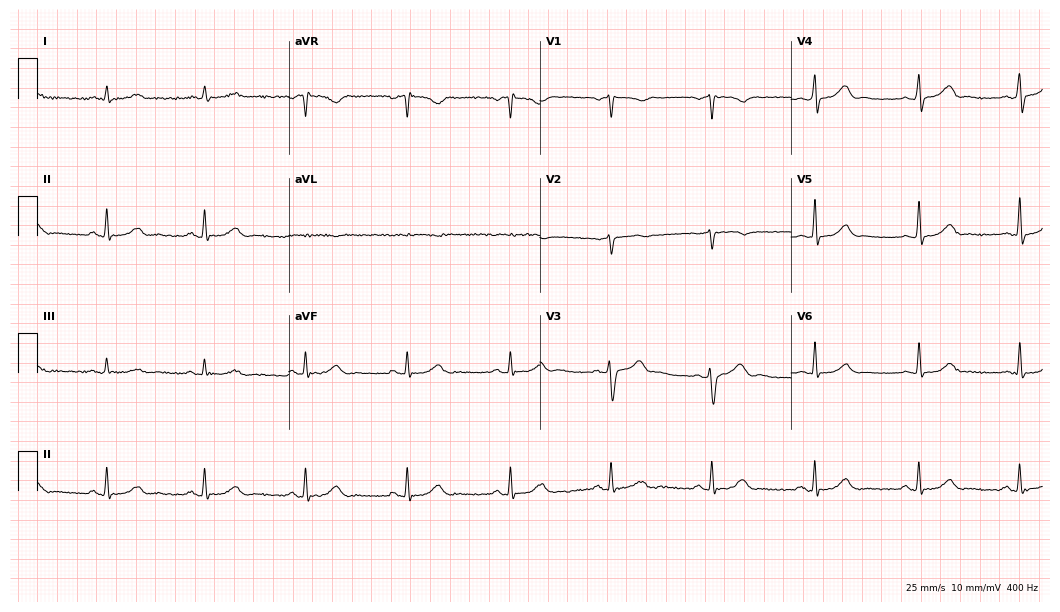
Electrocardiogram, a 62-year-old man. Overall reading on record: normal ECG.